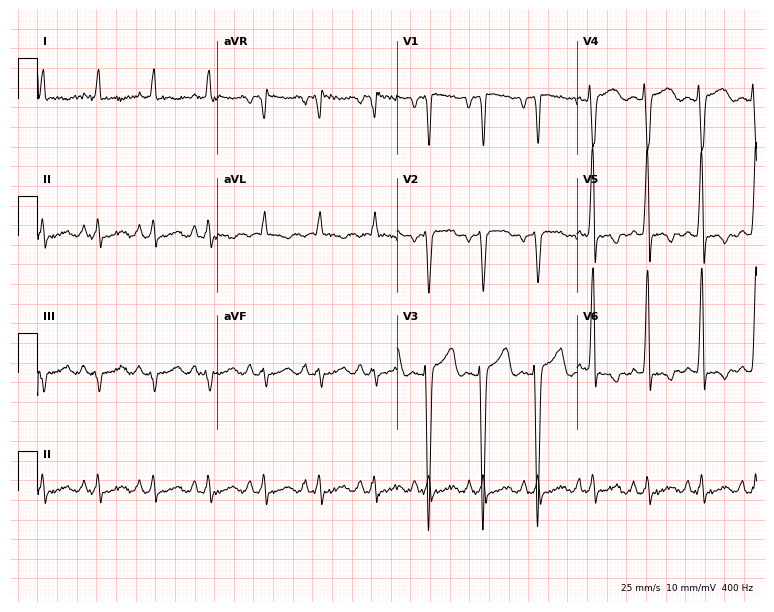
12-lead ECG (7.3-second recording at 400 Hz) from a male patient, 37 years old. Screened for six findings — first-degree AV block, right bundle branch block, left bundle branch block, sinus bradycardia, atrial fibrillation, sinus tachycardia — none is recorded. Findings outside these six are not listed.